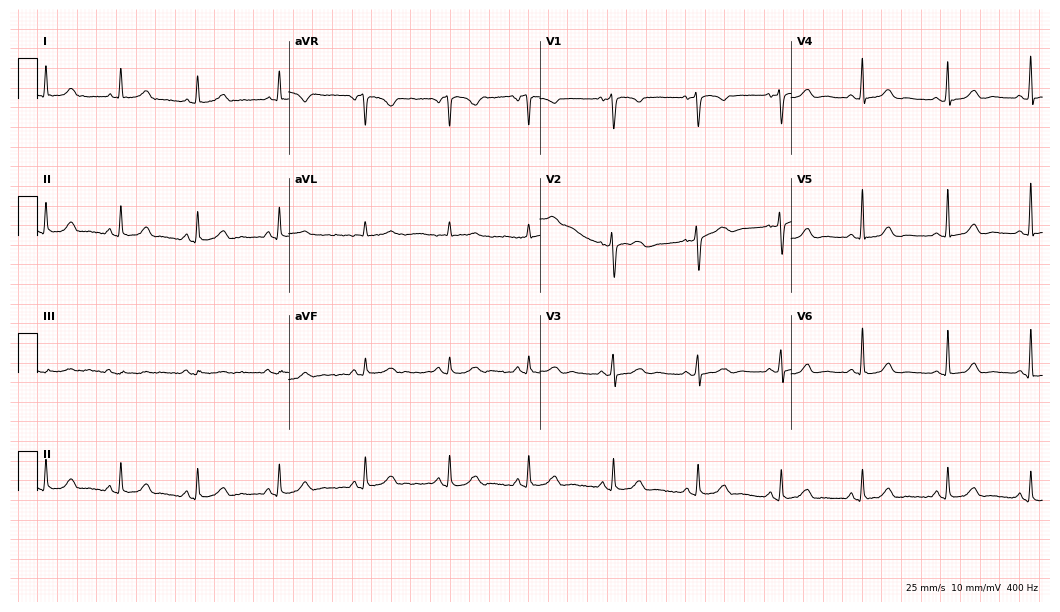
Electrocardiogram (10.2-second recording at 400 Hz), a 55-year-old female. Of the six screened findings (first-degree AV block, right bundle branch block (RBBB), left bundle branch block (LBBB), sinus bradycardia, atrial fibrillation (AF), sinus tachycardia), none is recorded. Other findings, if any, are not listed.